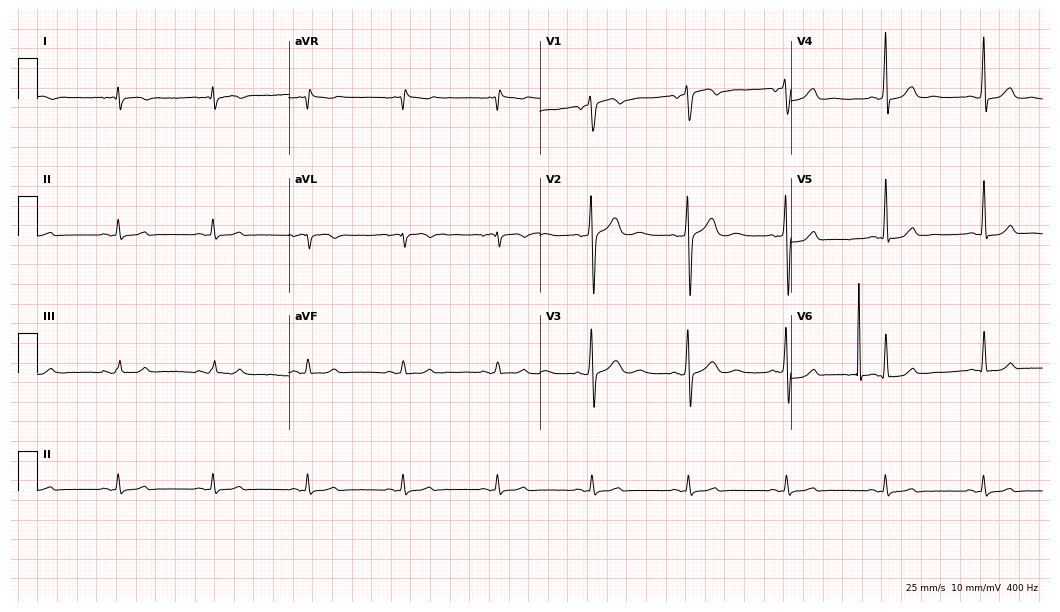
Standard 12-lead ECG recorded from a man, 50 years old (10.2-second recording at 400 Hz). None of these six findings is recorded: first-degree AV block, right bundle branch block, left bundle branch block, sinus bradycardia, atrial fibrillation, sinus tachycardia.